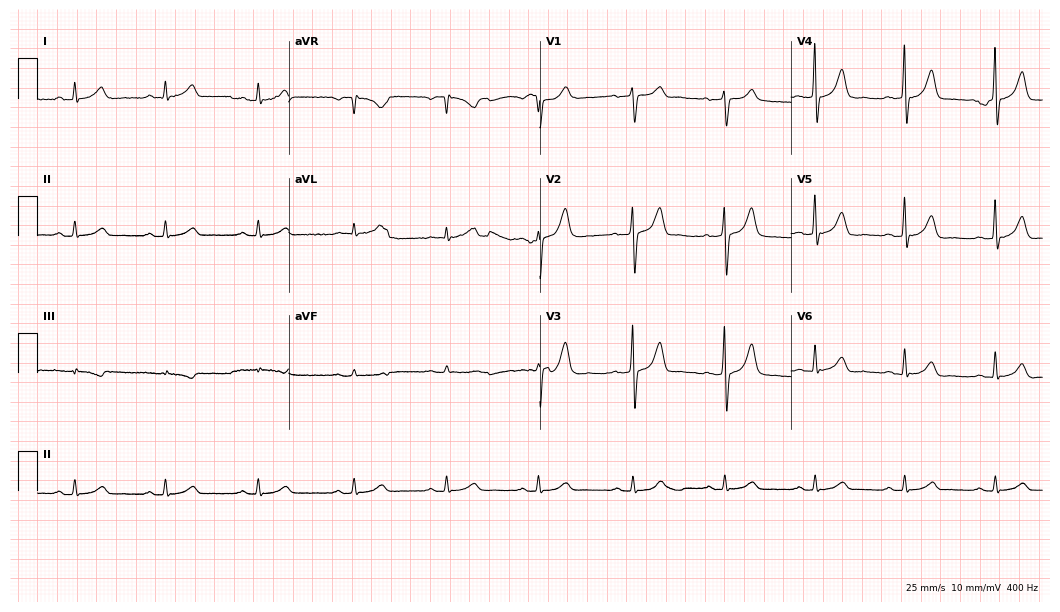
ECG (10.2-second recording at 400 Hz) — a 69-year-old male patient. Labelled as a normal ECG.